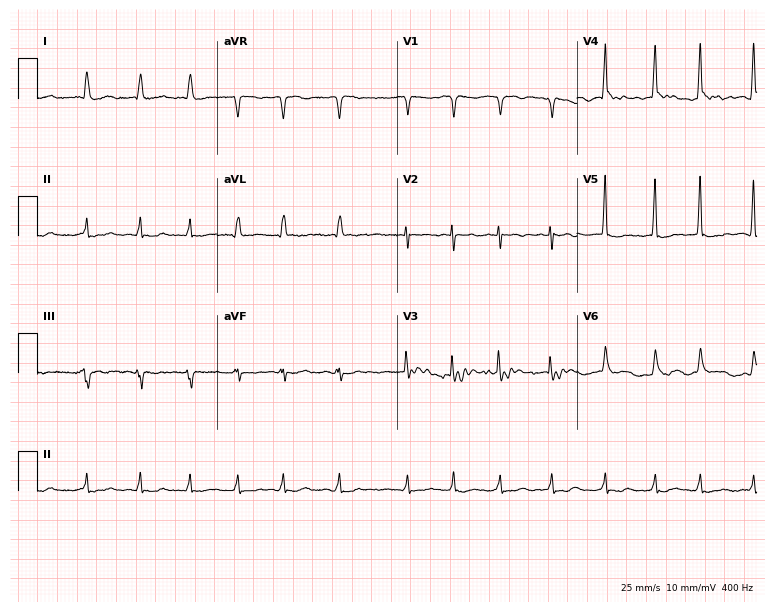
Standard 12-lead ECG recorded from a female, 81 years old (7.3-second recording at 400 Hz). The tracing shows atrial fibrillation.